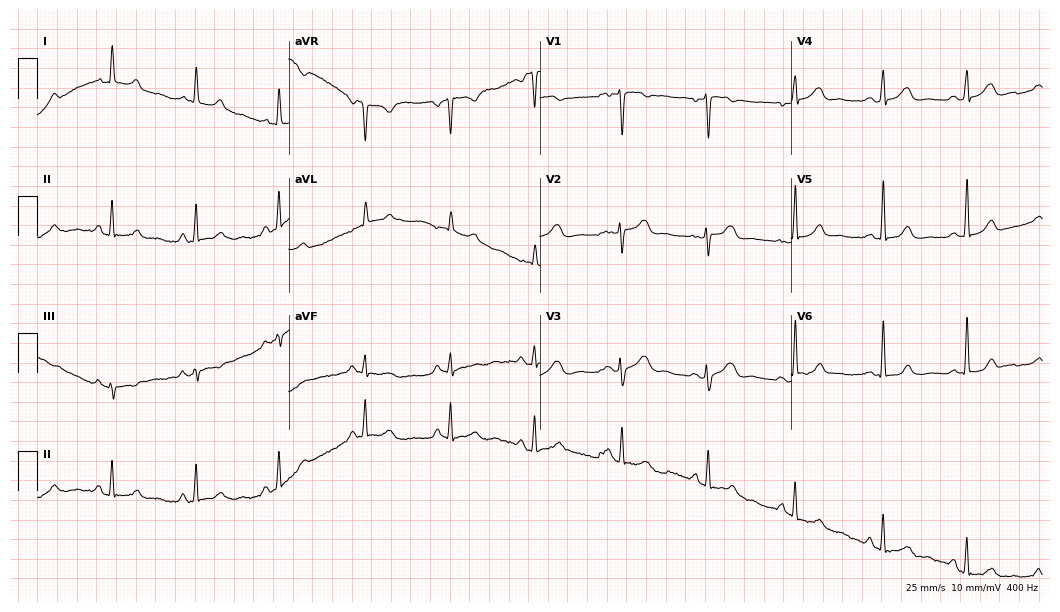
Electrocardiogram, a 48-year-old woman. Overall reading on record: normal ECG.